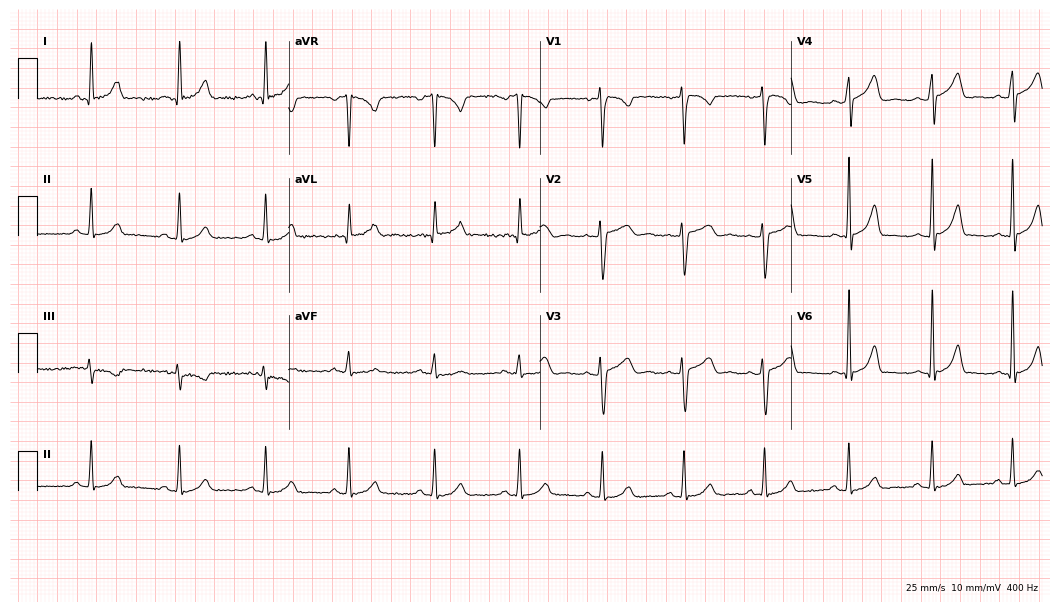
Electrocardiogram (10.2-second recording at 400 Hz), a female, 38 years old. Of the six screened findings (first-degree AV block, right bundle branch block, left bundle branch block, sinus bradycardia, atrial fibrillation, sinus tachycardia), none is recorded. Findings outside these six are not listed.